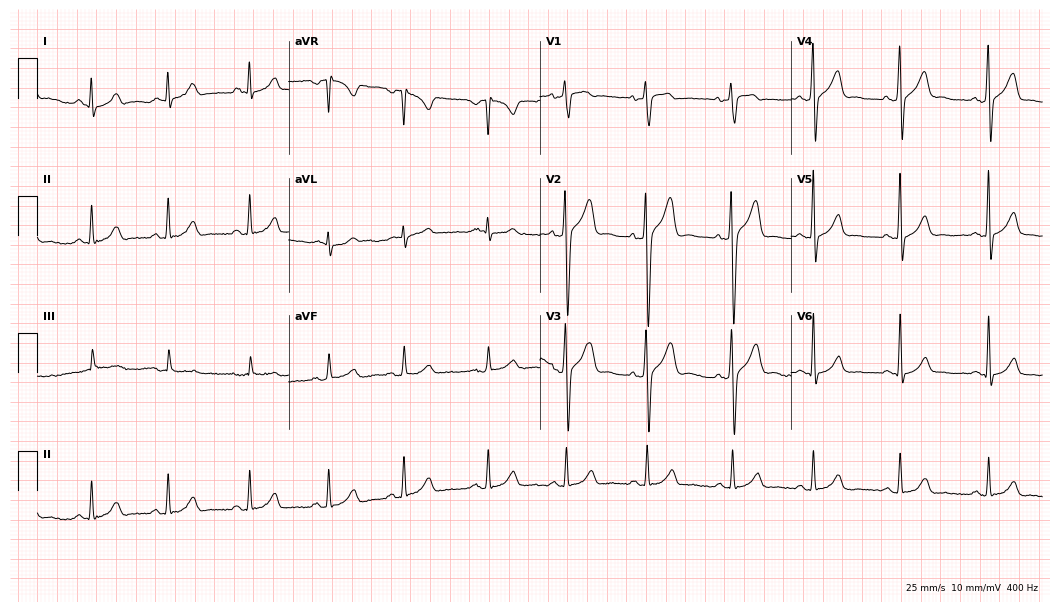
Resting 12-lead electrocardiogram. Patient: a man, 31 years old. Read as a normal ECG.